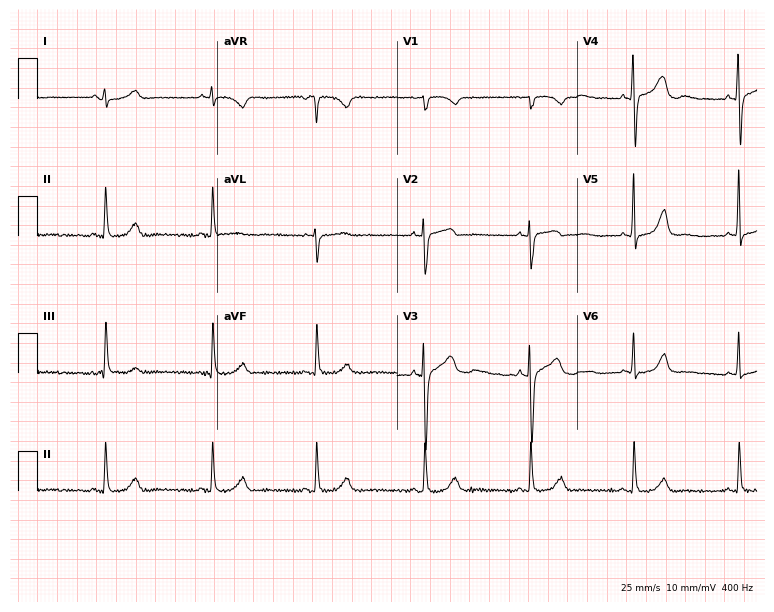
Standard 12-lead ECG recorded from a woman, 44 years old. None of these six findings is recorded: first-degree AV block, right bundle branch block (RBBB), left bundle branch block (LBBB), sinus bradycardia, atrial fibrillation (AF), sinus tachycardia.